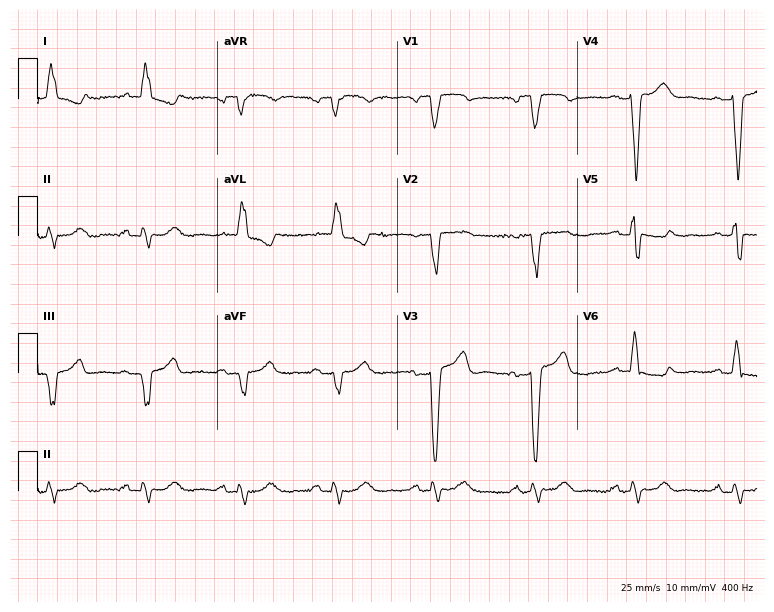
Electrocardiogram (7.3-second recording at 400 Hz), a female patient, 84 years old. Interpretation includes left bundle branch block (LBBB).